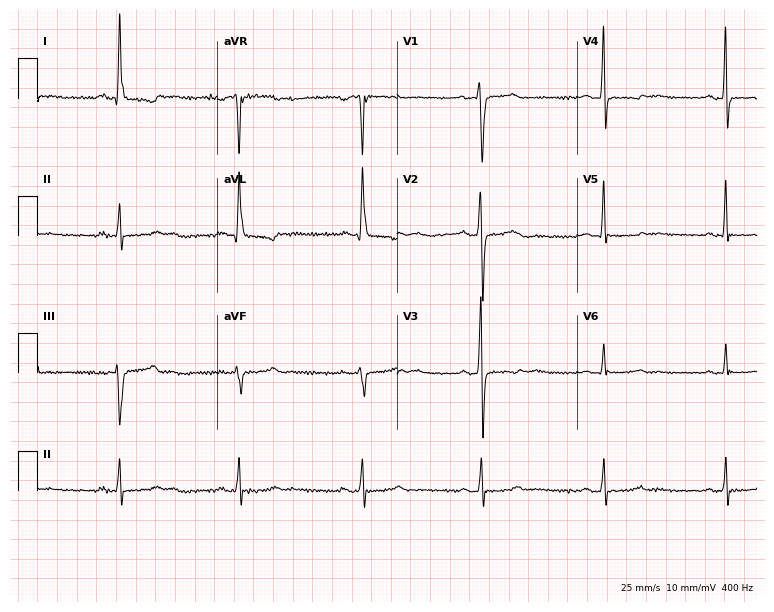
12-lead ECG from a 68-year-old female. Screened for six findings — first-degree AV block, right bundle branch block, left bundle branch block, sinus bradycardia, atrial fibrillation, sinus tachycardia — none is recorded.